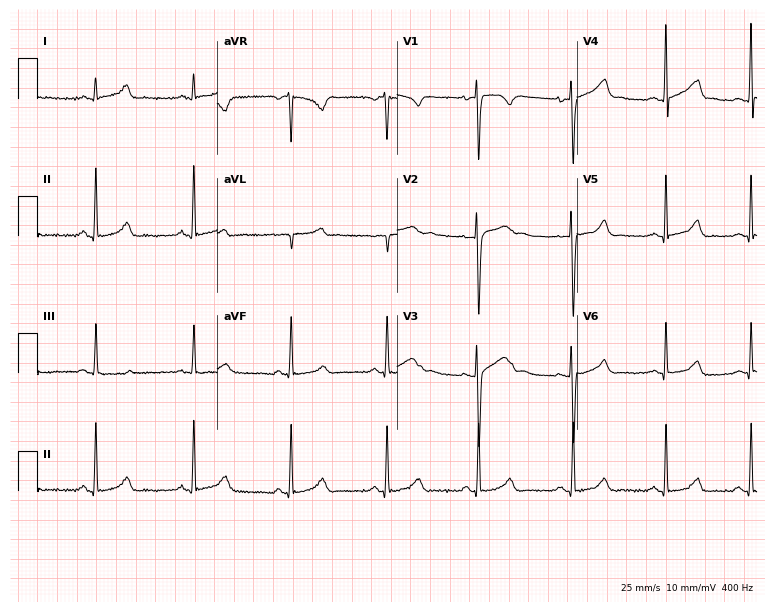
Standard 12-lead ECG recorded from a woman, 30 years old. None of these six findings is recorded: first-degree AV block, right bundle branch block (RBBB), left bundle branch block (LBBB), sinus bradycardia, atrial fibrillation (AF), sinus tachycardia. Findings outside these six are not listed.